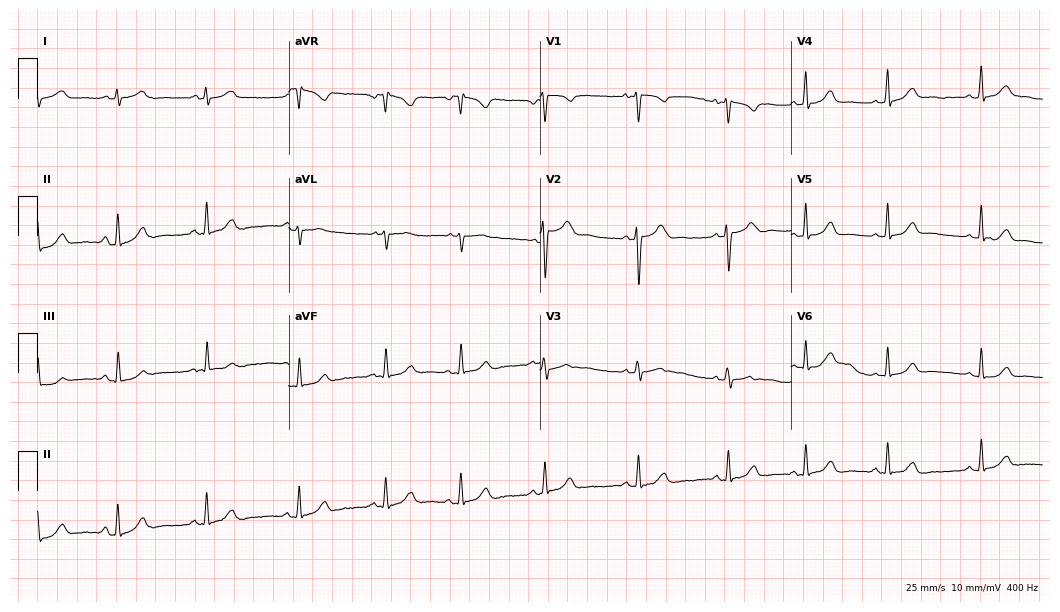
Resting 12-lead electrocardiogram. Patient: a 26-year-old female. Read as a normal ECG.